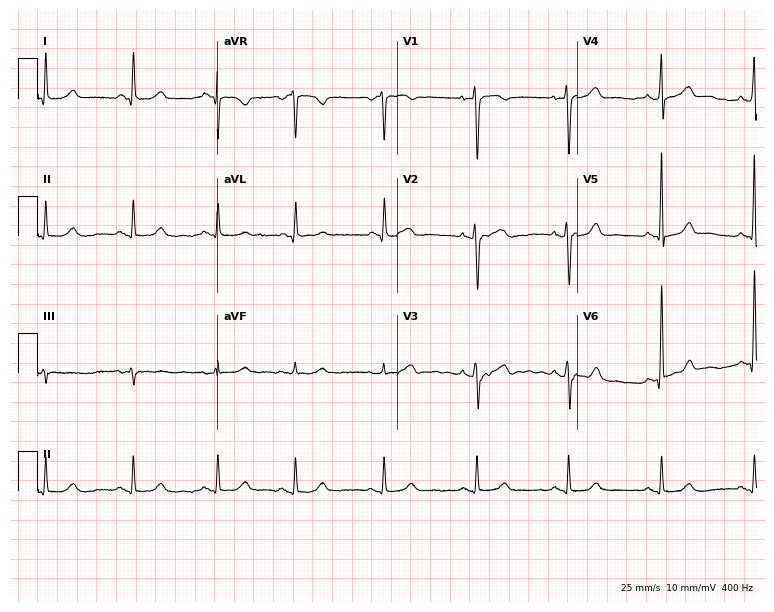
12-lead ECG from a woman, 60 years old. Screened for six findings — first-degree AV block, right bundle branch block, left bundle branch block, sinus bradycardia, atrial fibrillation, sinus tachycardia — none is recorded.